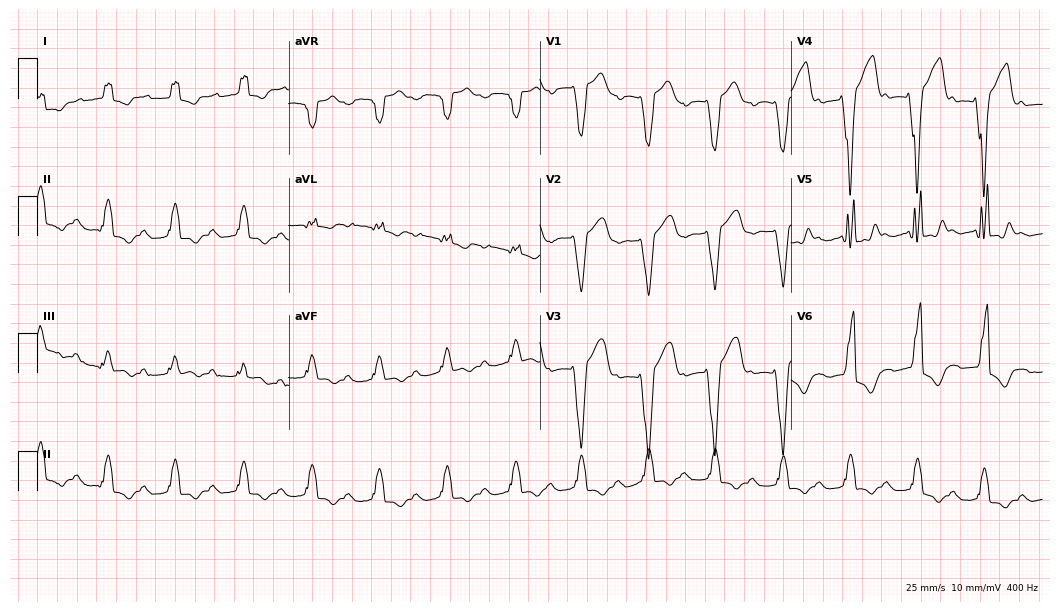
Standard 12-lead ECG recorded from a man, 70 years old (10.2-second recording at 400 Hz). None of these six findings is recorded: first-degree AV block, right bundle branch block, left bundle branch block, sinus bradycardia, atrial fibrillation, sinus tachycardia. Only these six findings were labelled.